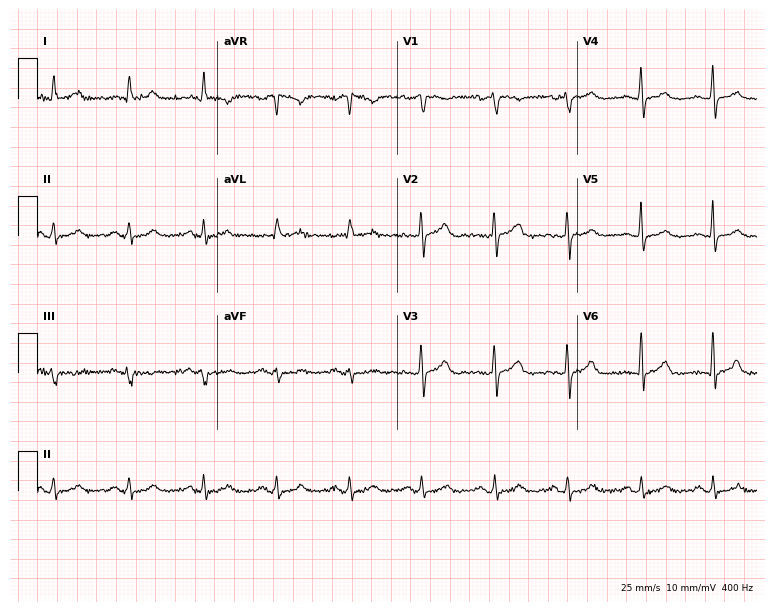
ECG — a female, 51 years old. Labelled as a normal ECG.